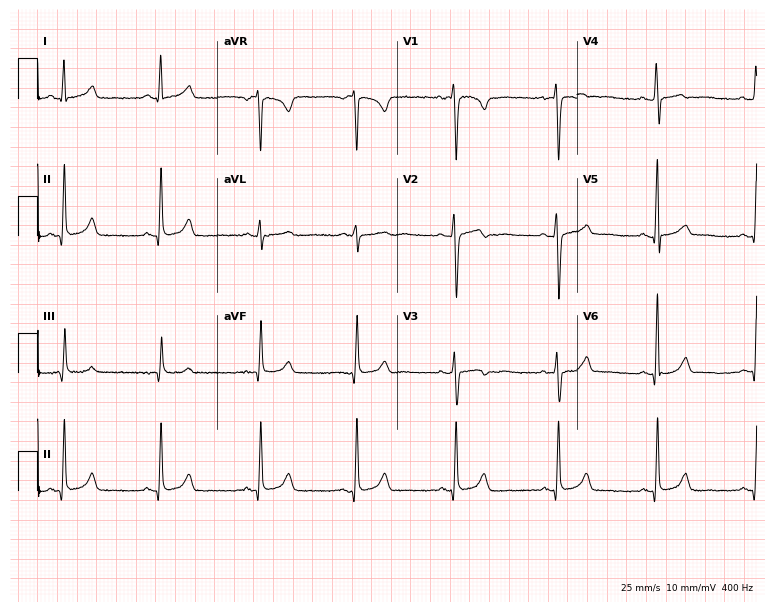
Electrocardiogram (7.3-second recording at 400 Hz), a female, 35 years old. Overall reading on record: normal ECG.